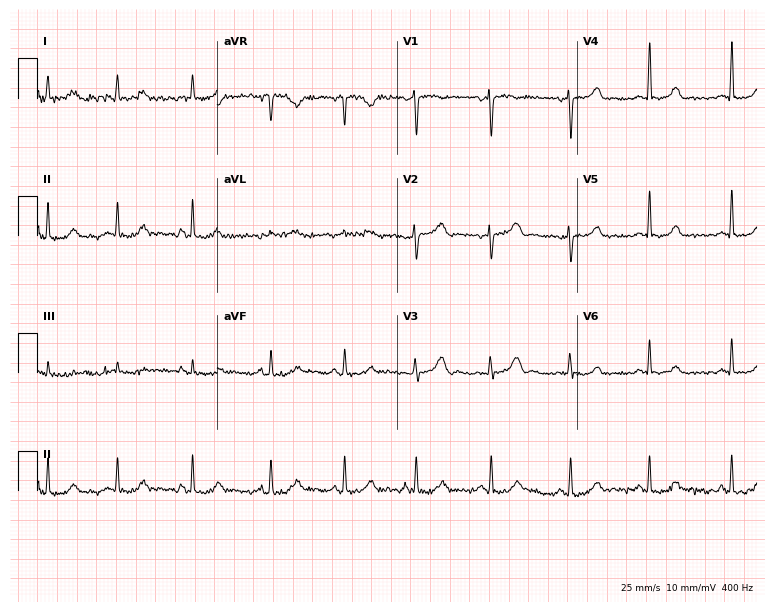
12-lead ECG from a female patient, 44 years old. Labelled as a normal ECG.